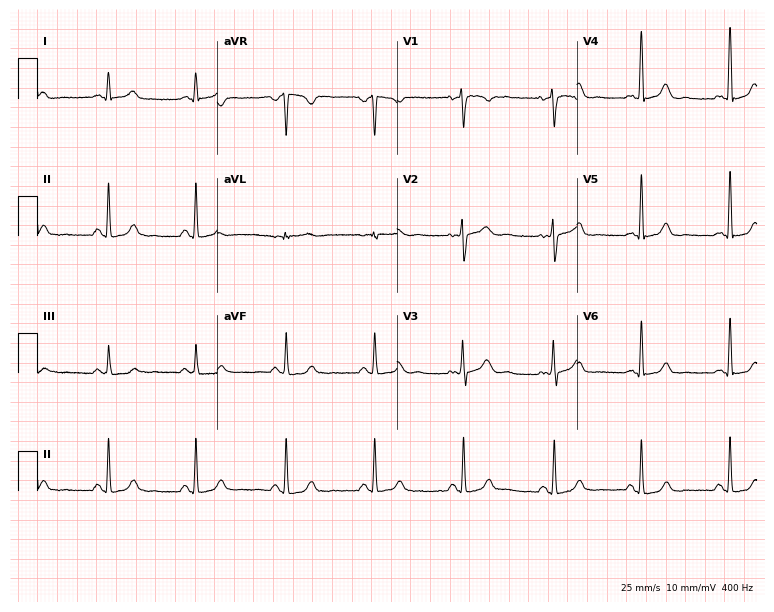
12-lead ECG from a woman, 41 years old (7.3-second recording at 400 Hz). No first-degree AV block, right bundle branch block, left bundle branch block, sinus bradycardia, atrial fibrillation or sinus tachycardia recorded for this tracing.